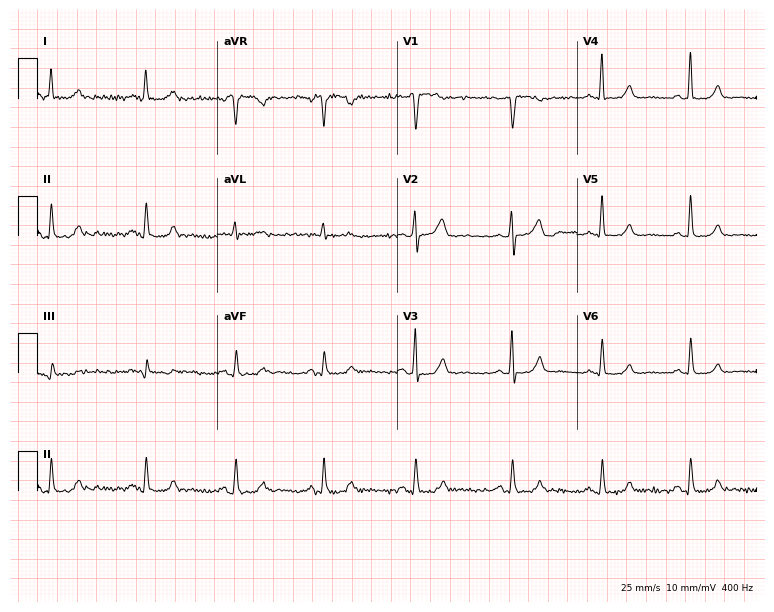
Electrocardiogram, a woman, 46 years old. Of the six screened findings (first-degree AV block, right bundle branch block (RBBB), left bundle branch block (LBBB), sinus bradycardia, atrial fibrillation (AF), sinus tachycardia), none is recorded. Only these six findings were labelled.